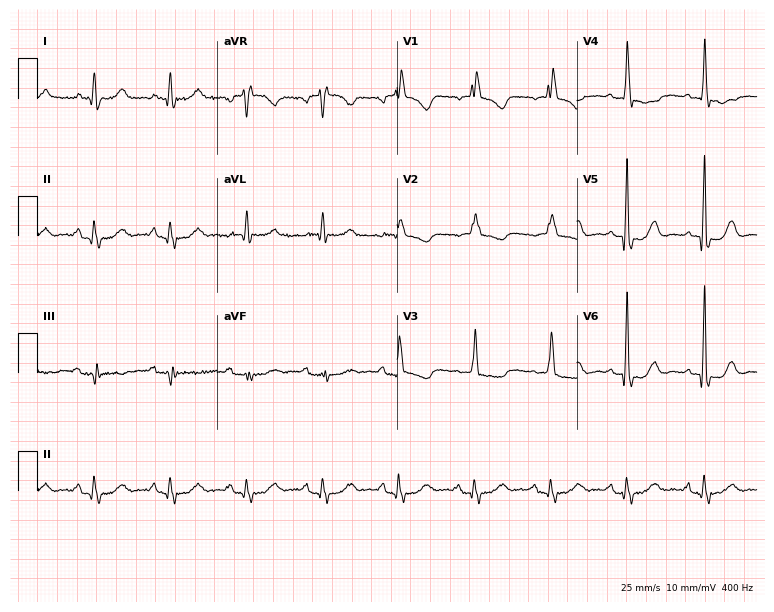
ECG — a female patient, 80 years old. Screened for six findings — first-degree AV block, right bundle branch block, left bundle branch block, sinus bradycardia, atrial fibrillation, sinus tachycardia — none is recorded.